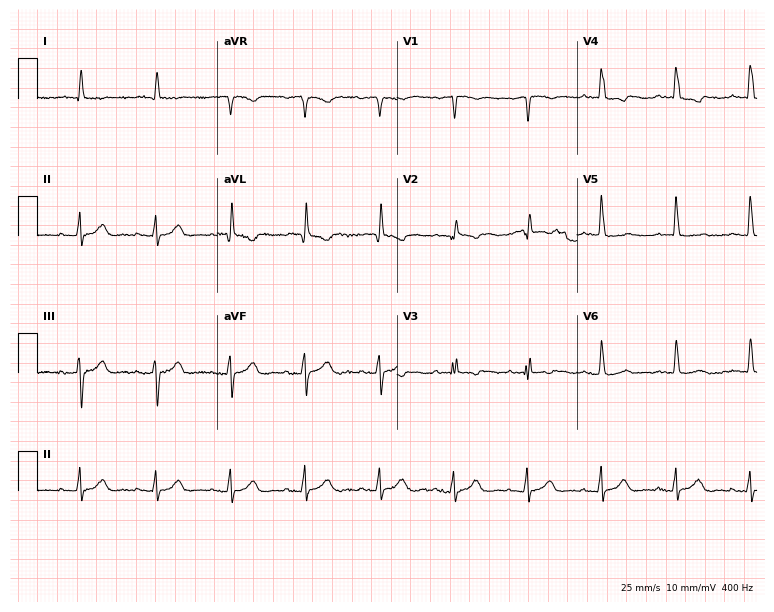
Standard 12-lead ECG recorded from a man, 85 years old. None of these six findings is recorded: first-degree AV block, right bundle branch block, left bundle branch block, sinus bradycardia, atrial fibrillation, sinus tachycardia. Other findings, if any, are not listed.